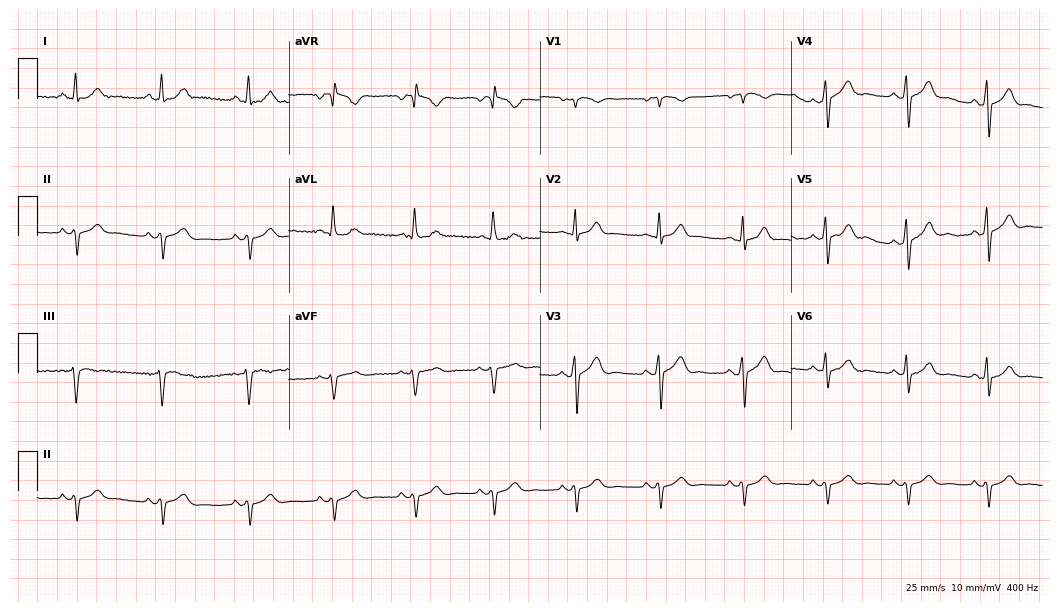
Resting 12-lead electrocardiogram (10.2-second recording at 400 Hz). Patient: a 35-year-old male. None of these six findings is recorded: first-degree AV block, right bundle branch block, left bundle branch block, sinus bradycardia, atrial fibrillation, sinus tachycardia.